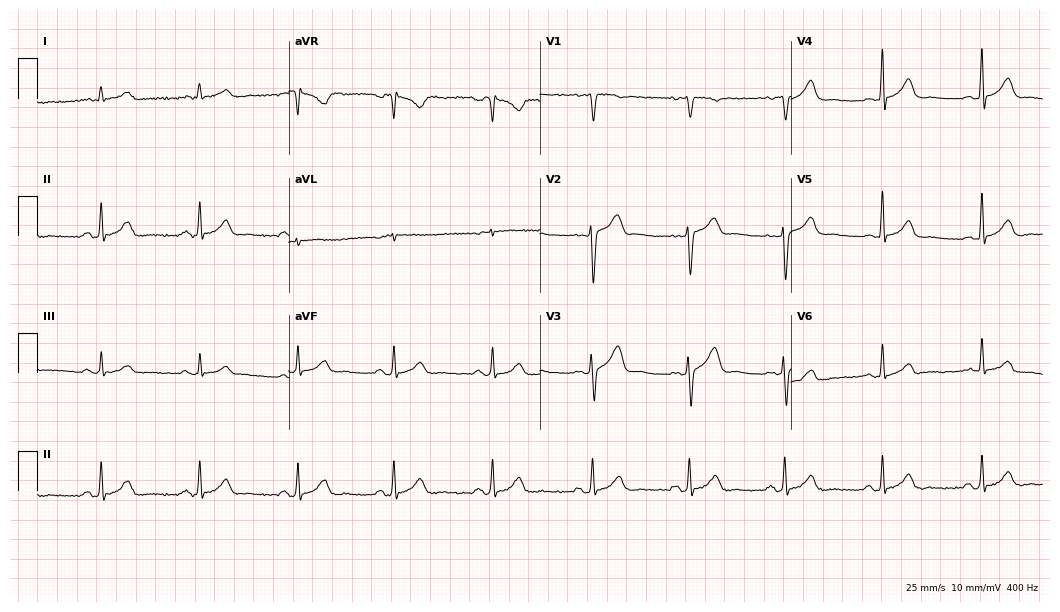
12-lead ECG from a 50-year-old female patient. Screened for six findings — first-degree AV block, right bundle branch block (RBBB), left bundle branch block (LBBB), sinus bradycardia, atrial fibrillation (AF), sinus tachycardia — none is recorded. Other findings, if any, are not listed.